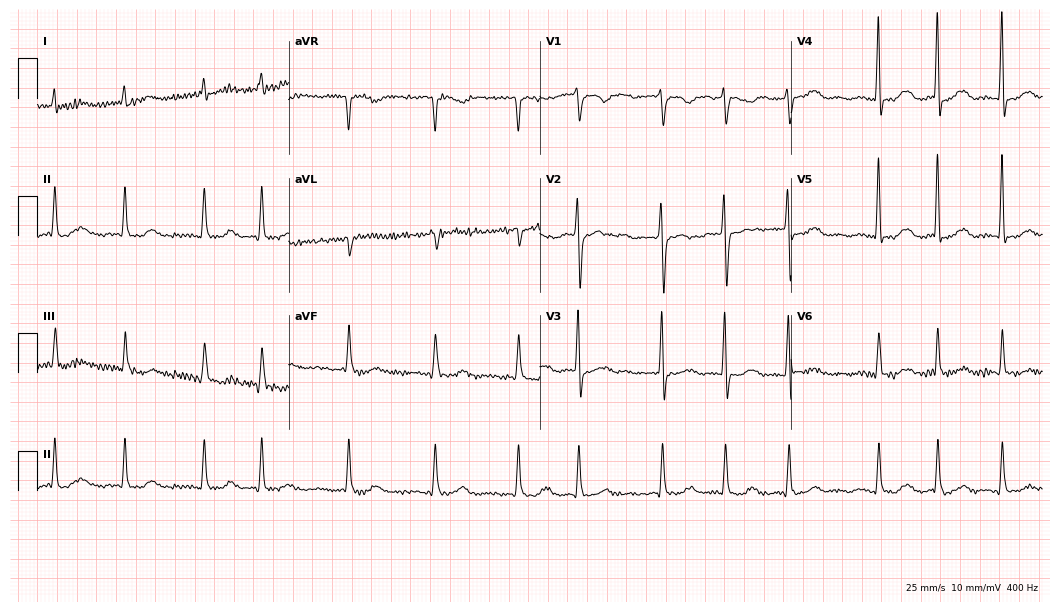
Standard 12-lead ECG recorded from a 74-year-old female patient (10.2-second recording at 400 Hz). The tracing shows first-degree AV block, atrial fibrillation.